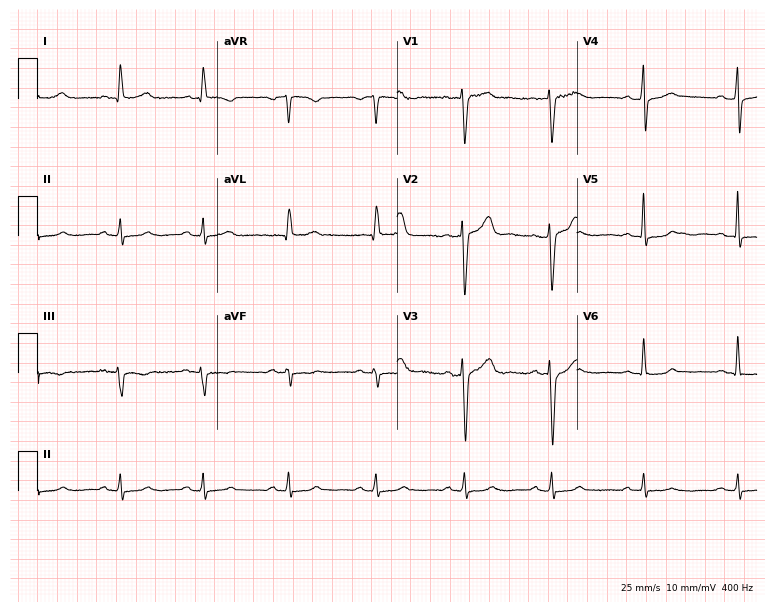
12-lead ECG from a male, 60 years old. Recorded interpretation: within normal limits.